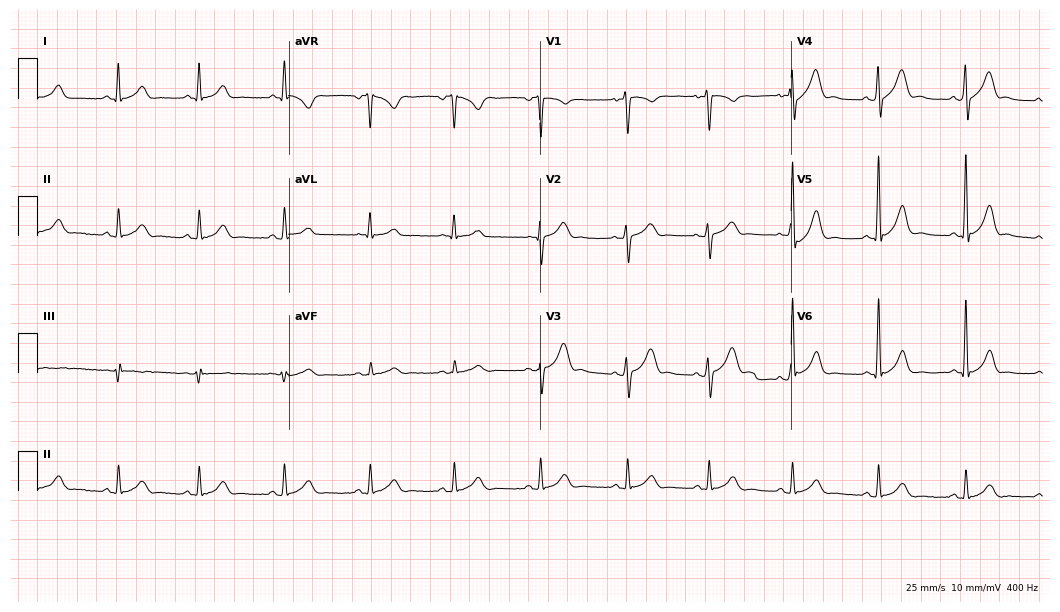
12-lead ECG from a man, 37 years old. Screened for six findings — first-degree AV block, right bundle branch block, left bundle branch block, sinus bradycardia, atrial fibrillation, sinus tachycardia — none is recorded. Only these six findings were labelled.